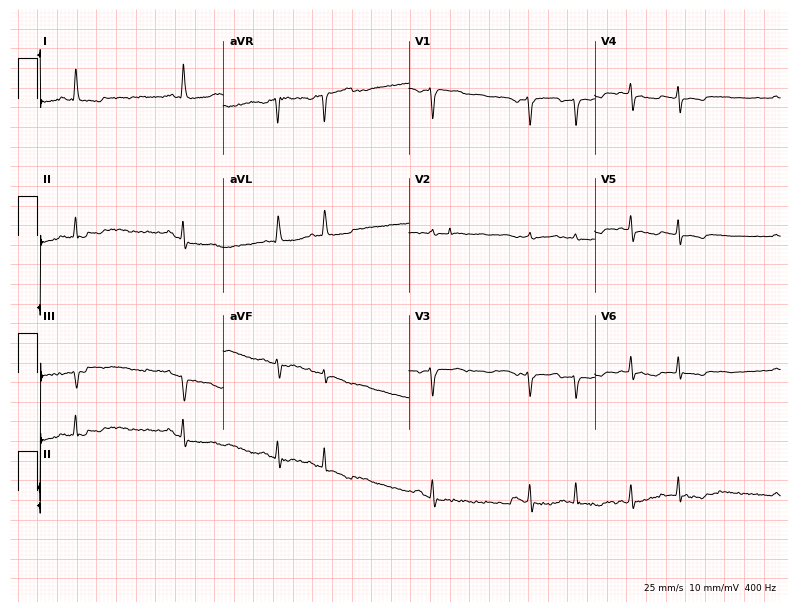
Resting 12-lead electrocardiogram. Patient: a female, 71 years old. None of these six findings is recorded: first-degree AV block, right bundle branch block, left bundle branch block, sinus bradycardia, atrial fibrillation, sinus tachycardia. Only these six findings were labelled.